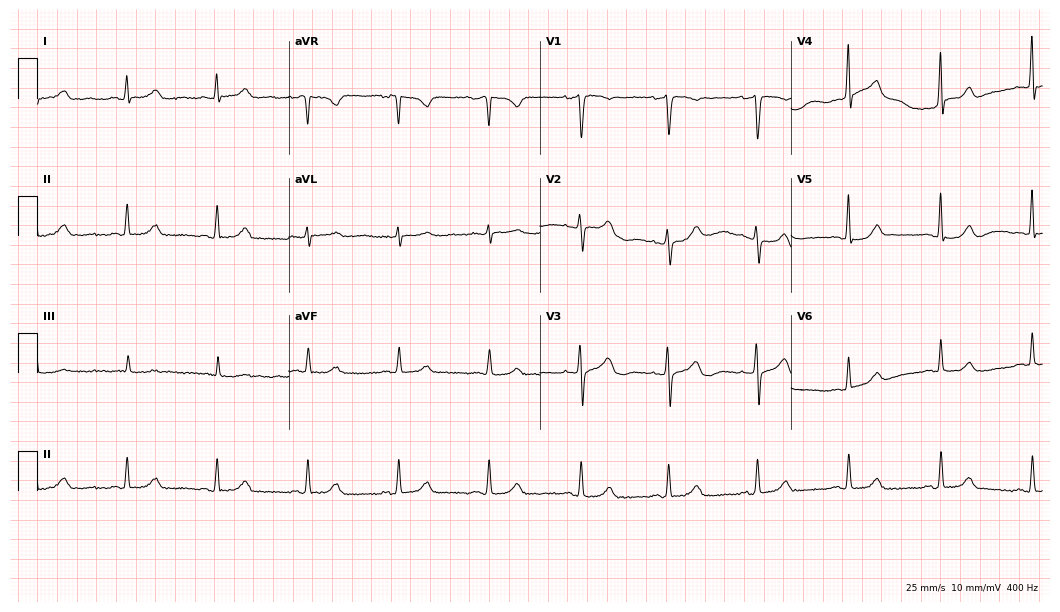
12-lead ECG from a 46-year-old female patient (10.2-second recording at 400 Hz). Recorded interpretation: within normal limits.